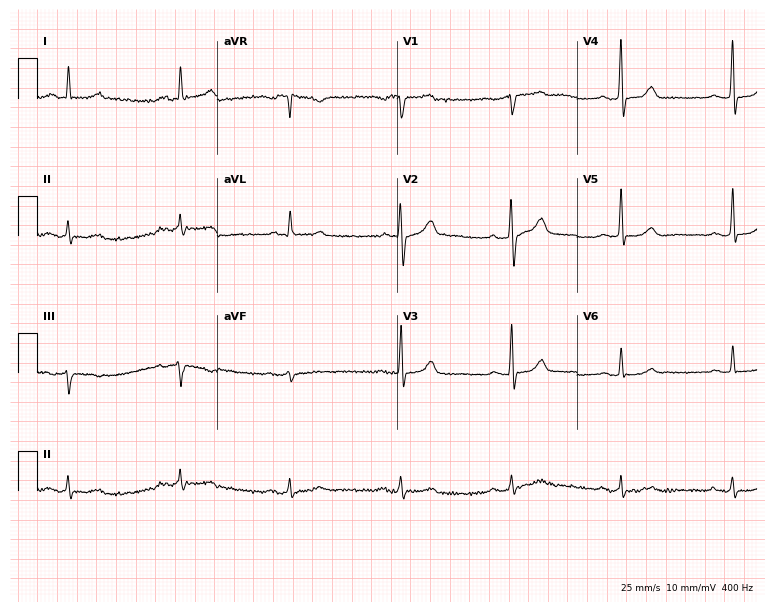
12-lead ECG from a 70-year-old male patient (7.3-second recording at 400 Hz). Recorded interpretation: within normal limits.